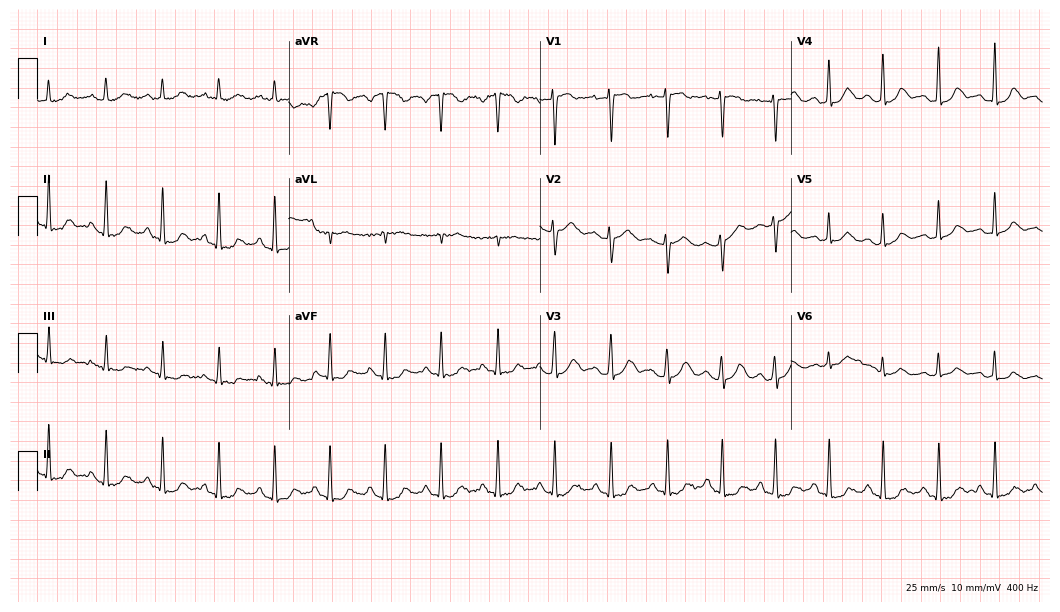
ECG (10.2-second recording at 400 Hz) — a woman, 41 years old. Findings include sinus tachycardia (a sinus rate of 100 beats per minute or more).